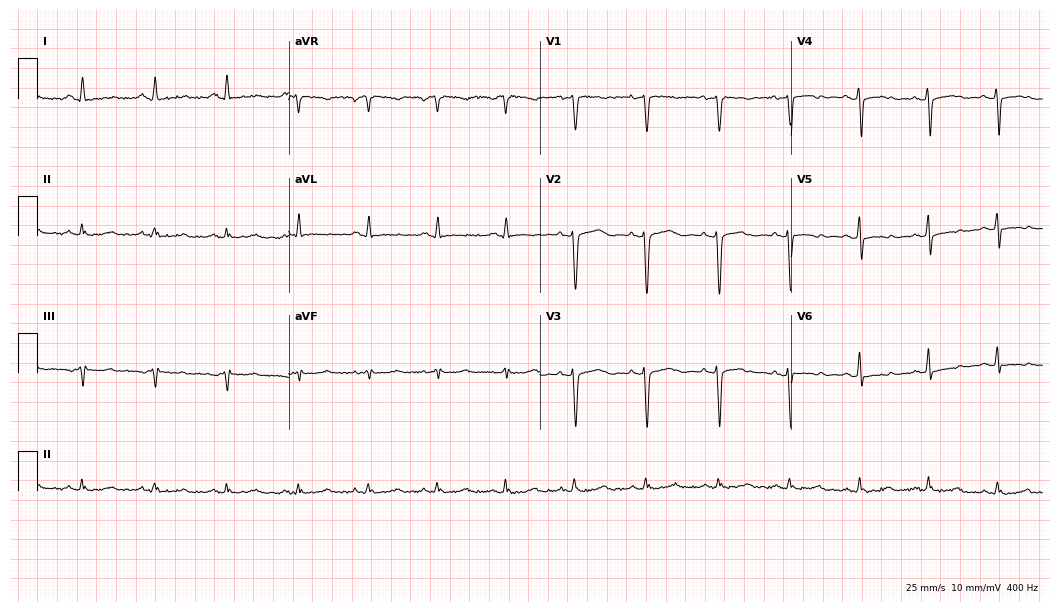
Electrocardiogram, a 30-year-old female. Of the six screened findings (first-degree AV block, right bundle branch block, left bundle branch block, sinus bradycardia, atrial fibrillation, sinus tachycardia), none is recorded.